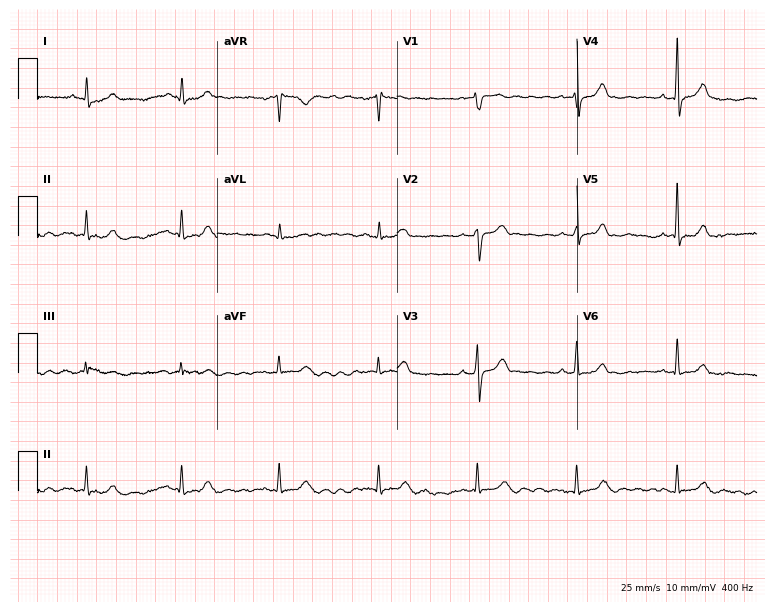
12-lead ECG (7.3-second recording at 400 Hz) from a female patient, 64 years old. Screened for six findings — first-degree AV block, right bundle branch block, left bundle branch block, sinus bradycardia, atrial fibrillation, sinus tachycardia — none is recorded.